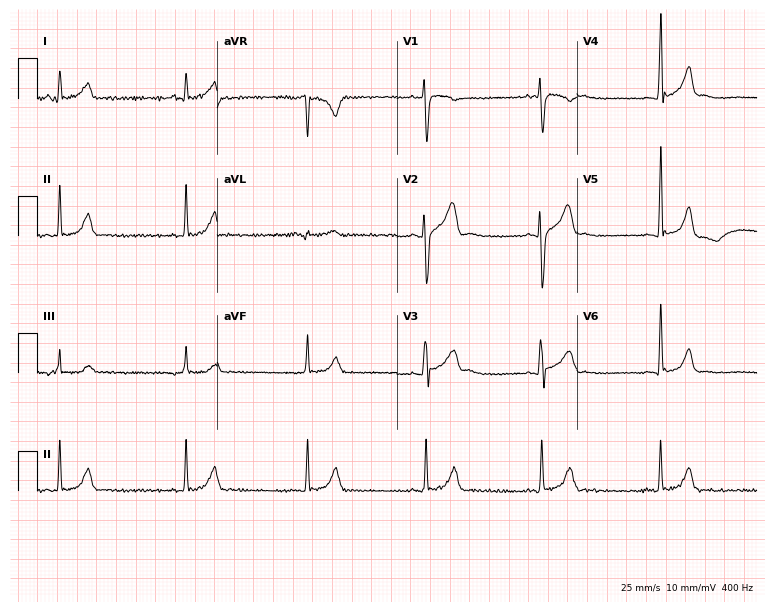
12-lead ECG from a 23-year-old male. Findings include sinus bradycardia (a sinus rate of 50 beats per minute or less).